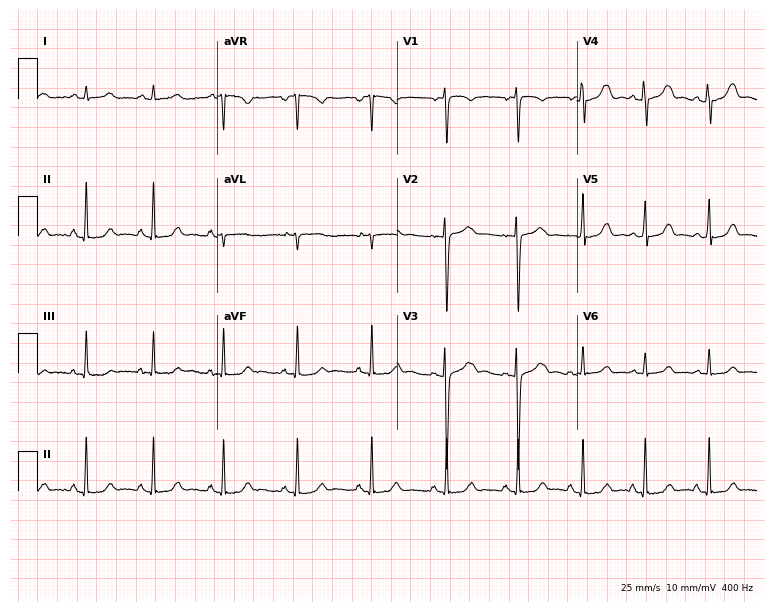
Electrocardiogram (7.3-second recording at 400 Hz), a female patient, 34 years old. Overall reading on record: normal ECG.